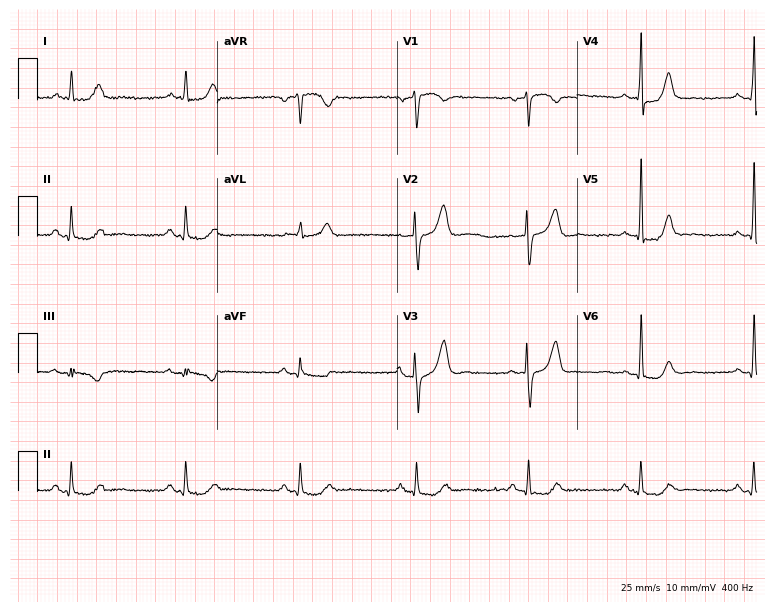
Standard 12-lead ECG recorded from a 62-year-old male. None of these six findings is recorded: first-degree AV block, right bundle branch block, left bundle branch block, sinus bradycardia, atrial fibrillation, sinus tachycardia.